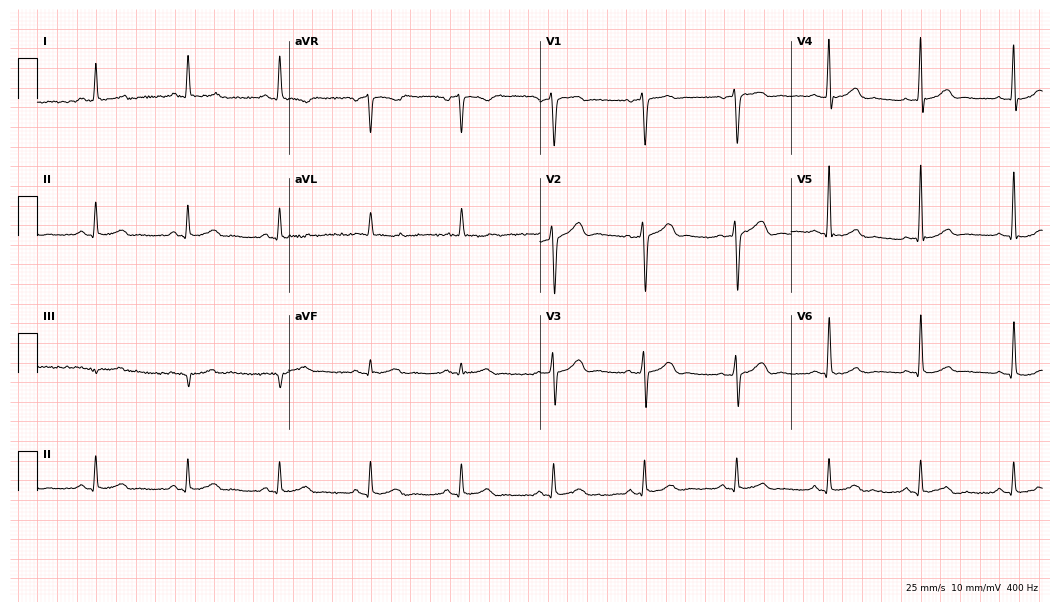
Resting 12-lead electrocardiogram (10.2-second recording at 400 Hz). Patient: a 55-year-old male. Read as a normal ECG.